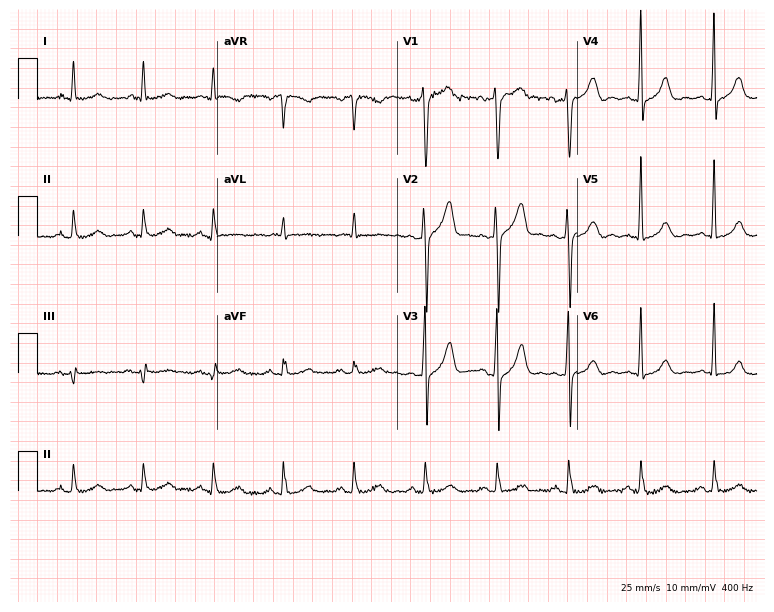
12-lead ECG from a 49-year-old man (7.3-second recording at 400 Hz). Recorded interpretation: within normal limits.